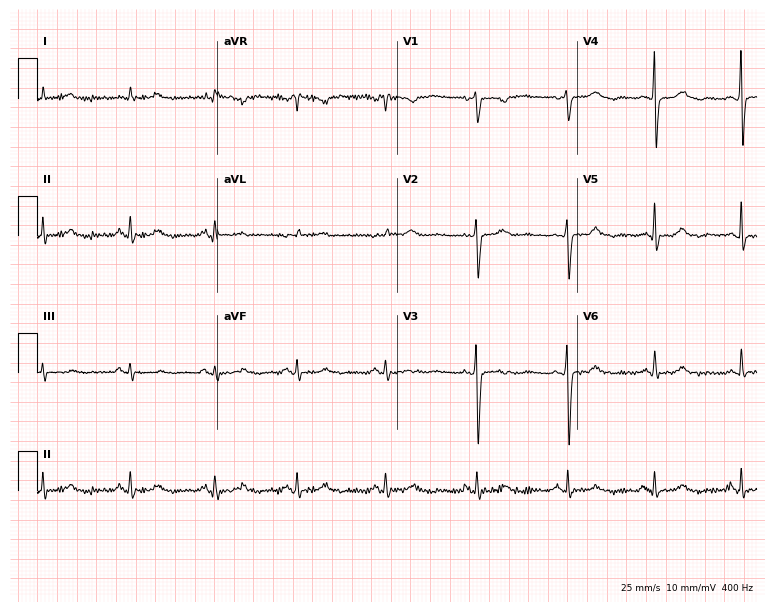
Resting 12-lead electrocardiogram (7.3-second recording at 400 Hz). Patient: a female, 42 years old. None of these six findings is recorded: first-degree AV block, right bundle branch block, left bundle branch block, sinus bradycardia, atrial fibrillation, sinus tachycardia.